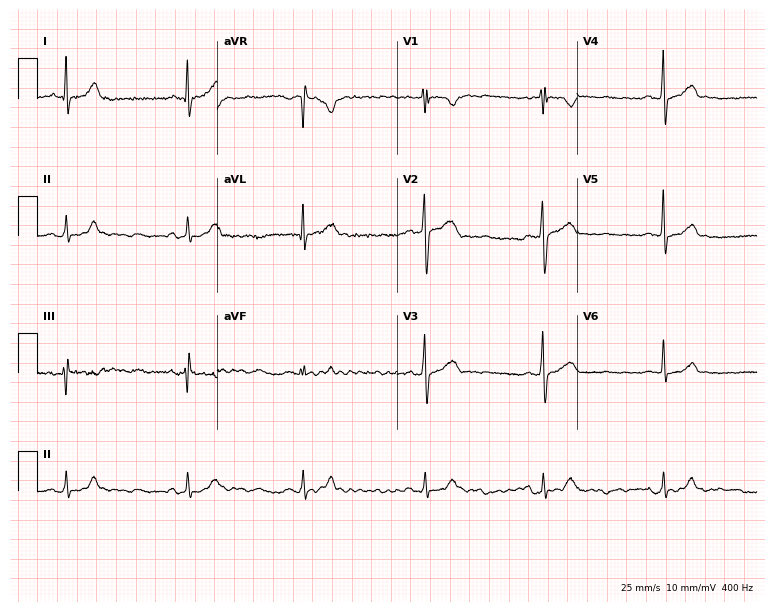
Standard 12-lead ECG recorded from a male, 44 years old. None of these six findings is recorded: first-degree AV block, right bundle branch block (RBBB), left bundle branch block (LBBB), sinus bradycardia, atrial fibrillation (AF), sinus tachycardia. Findings outside these six are not listed.